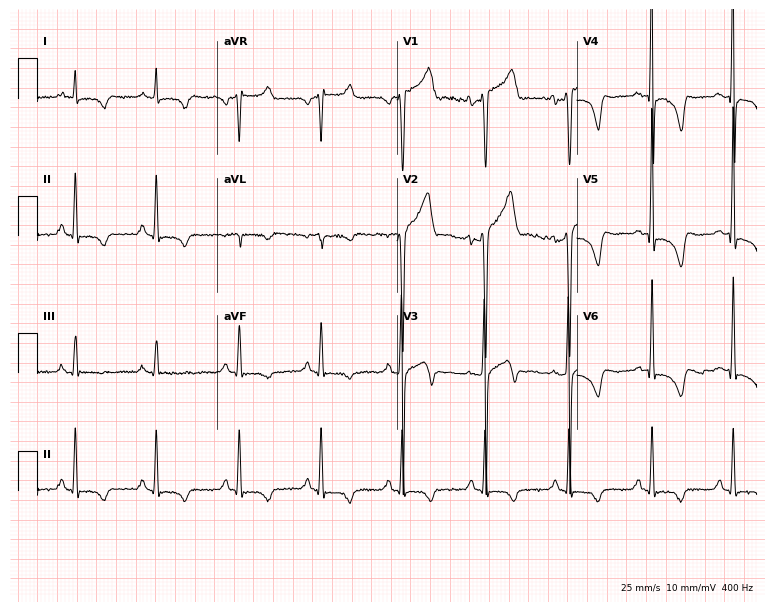
ECG (7.3-second recording at 400 Hz) — a 33-year-old man. Screened for six findings — first-degree AV block, right bundle branch block, left bundle branch block, sinus bradycardia, atrial fibrillation, sinus tachycardia — none is recorded.